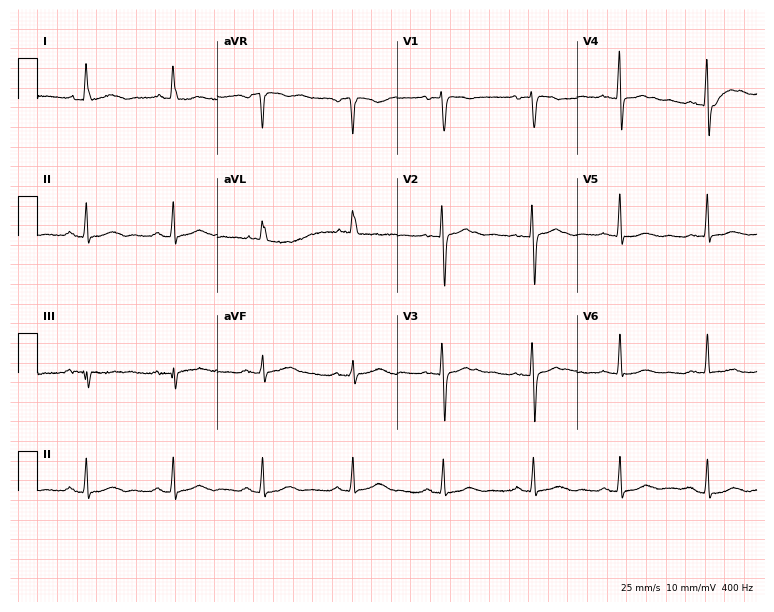
12-lead ECG from a 61-year-old woman (7.3-second recording at 400 Hz). Recorded interpretation: within normal limits.